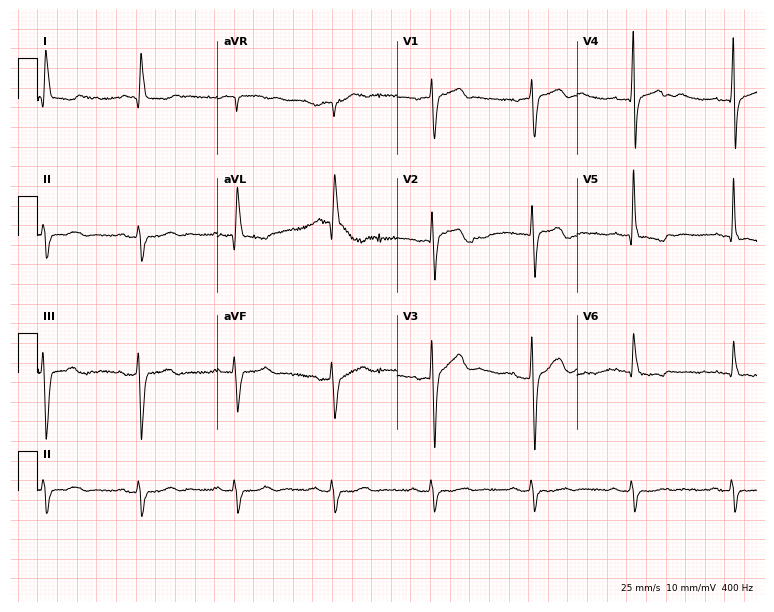
Standard 12-lead ECG recorded from a man, 76 years old. None of these six findings is recorded: first-degree AV block, right bundle branch block, left bundle branch block, sinus bradycardia, atrial fibrillation, sinus tachycardia.